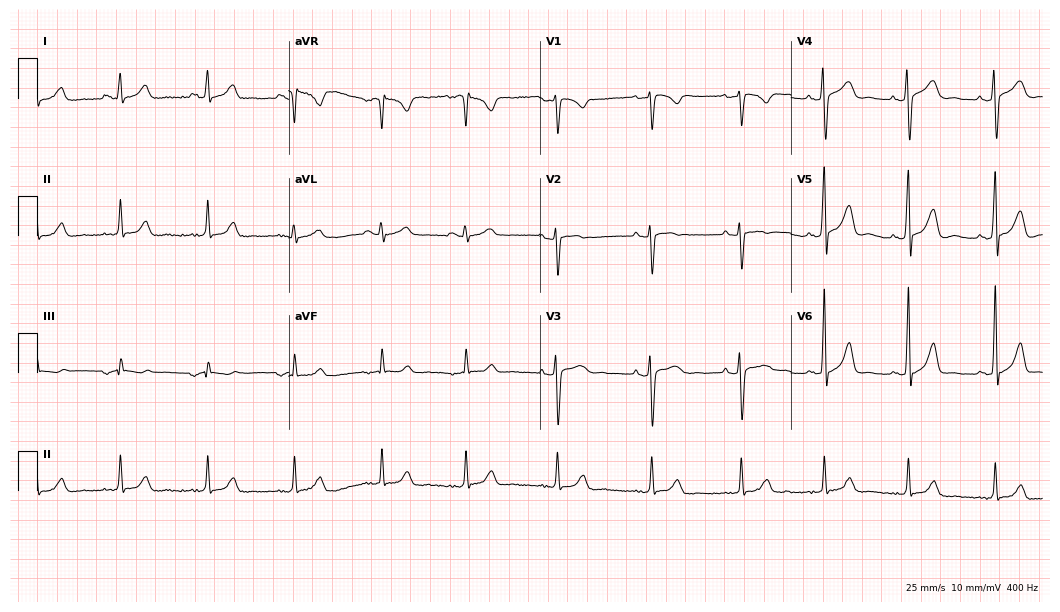
ECG (10.2-second recording at 400 Hz) — a 37-year-old woman. Labelled as a normal ECG.